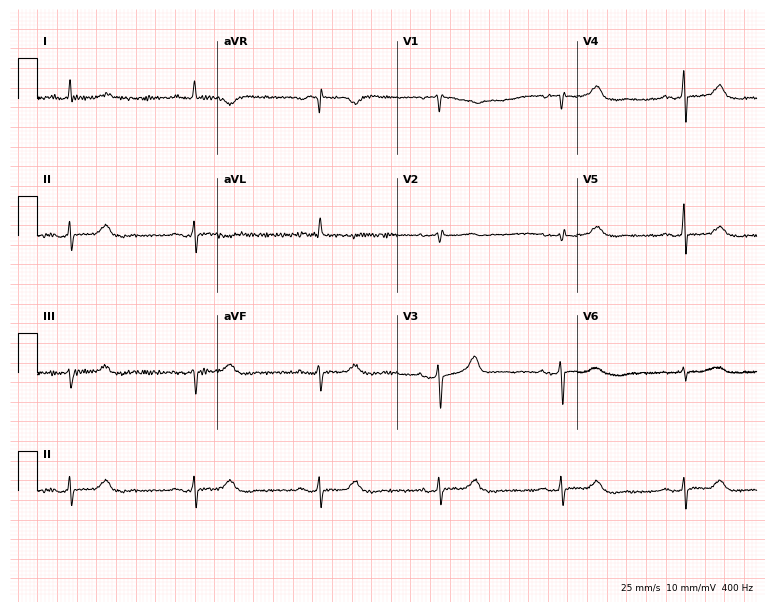
12-lead ECG from a 68-year-old woman. Shows sinus bradycardia (a sinus rate of 50 beats per minute or less).